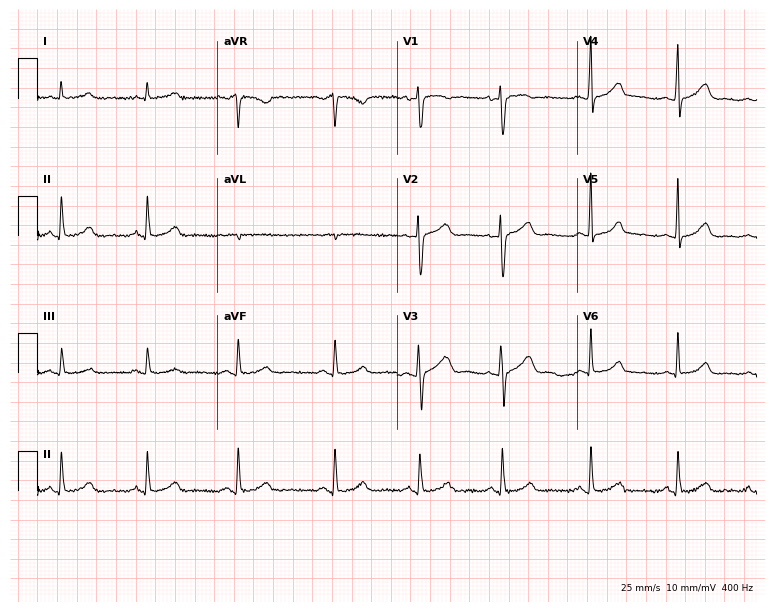
12-lead ECG (7.3-second recording at 400 Hz) from a 28-year-old female patient. Labelled as a normal ECG.